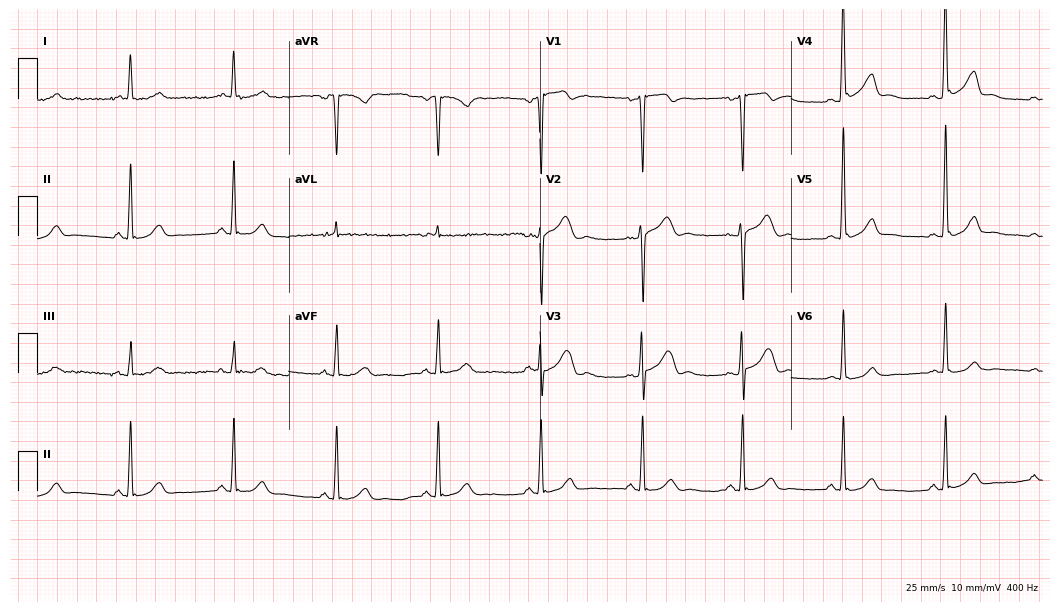
Electrocardiogram (10.2-second recording at 400 Hz), a 50-year-old male. Of the six screened findings (first-degree AV block, right bundle branch block, left bundle branch block, sinus bradycardia, atrial fibrillation, sinus tachycardia), none is recorded. Findings outside these six are not listed.